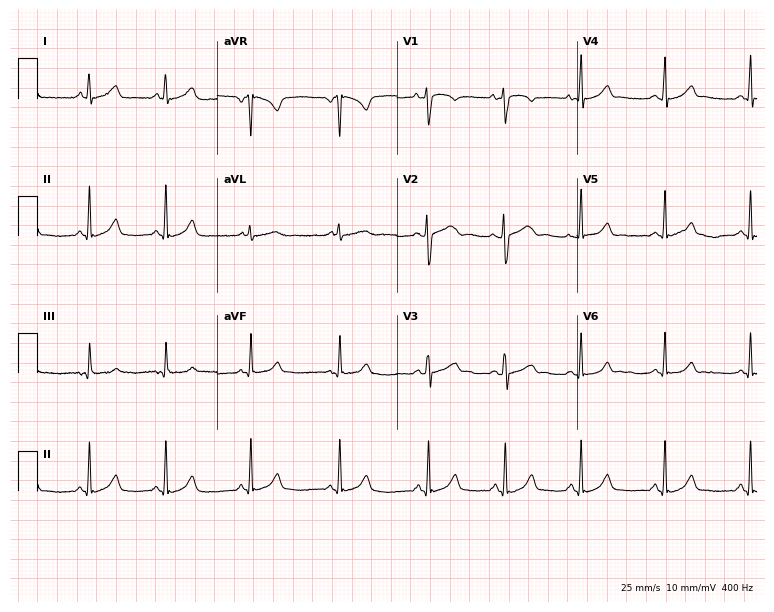
Standard 12-lead ECG recorded from an 18-year-old female patient (7.3-second recording at 400 Hz). None of these six findings is recorded: first-degree AV block, right bundle branch block, left bundle branch block, sinus bradycardia, atrial fibrillation, sinus tachycardia.